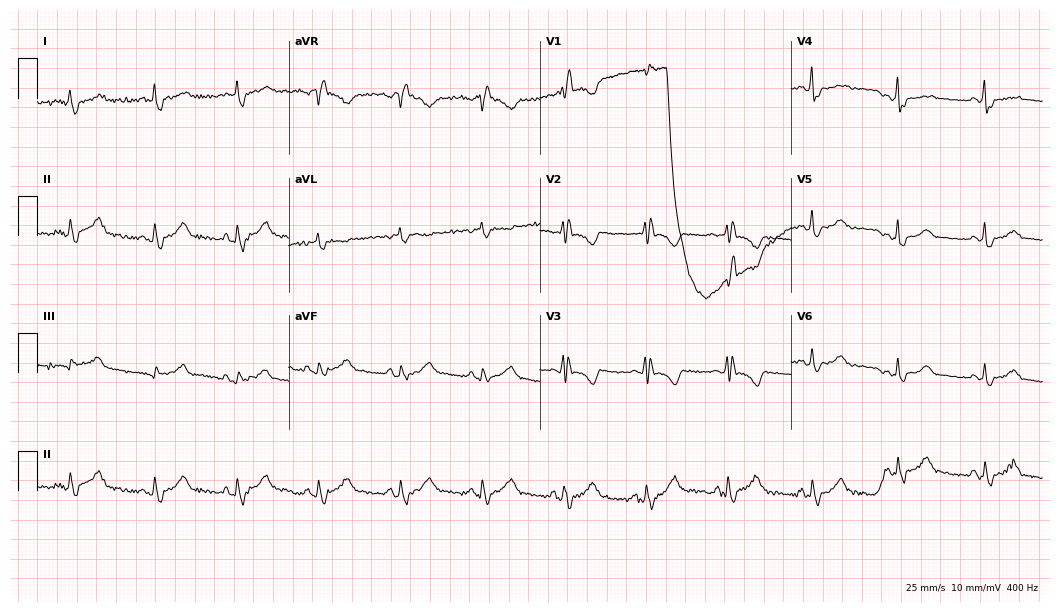
Standard 12-lead ECG recorded from a 72-year-old female (10.2-second recording at 400 Hz). The tracing shows right bundle branch block.